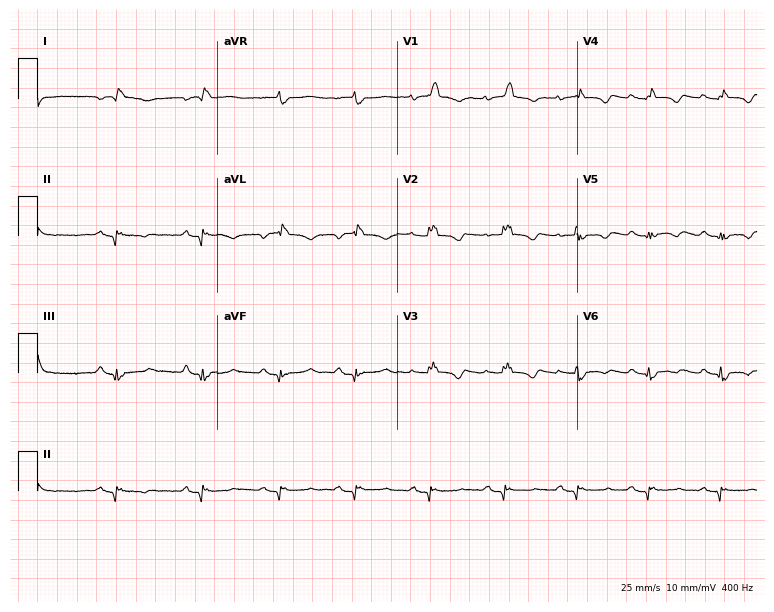
ECG (7.3-second recording at 400 Hz) — a 44-year-old woman. Findings include right bundle branch block (RBBB).